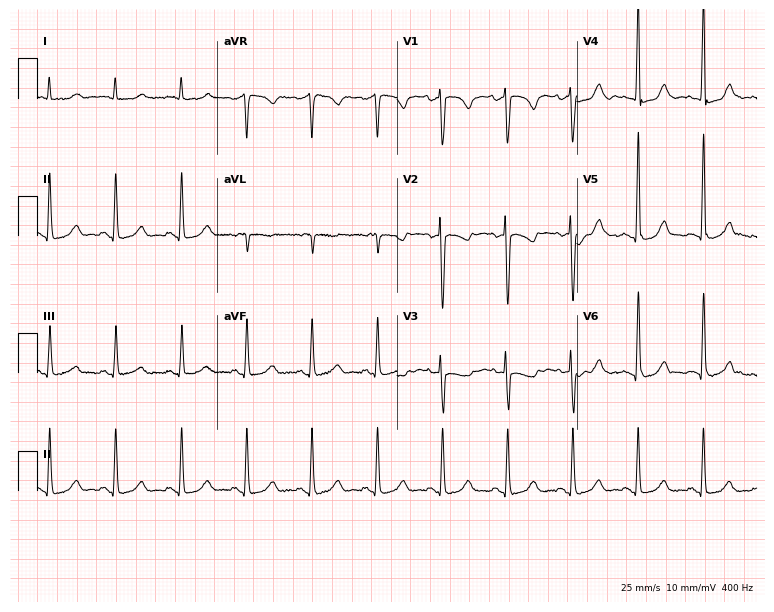
12-lead ECG (7.3-second recording at 400 Hz) from a 41-year-old woman. Labelled as a normal ECG.